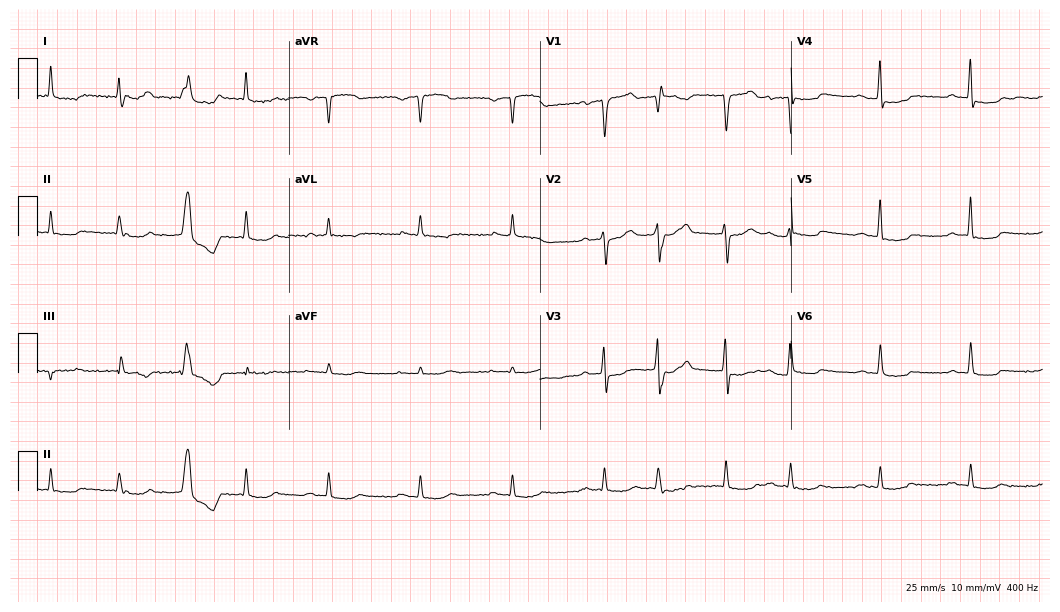
Standard 12-lead ECG recorded from an 80-year-old male patient. None of these six findings is recorded: first-degree AV block, right bundle branch block, left bundle branch block, sinus bradycardia, atrial fibrillation, sinus tachycardia. Other findings, if any, are not listed.